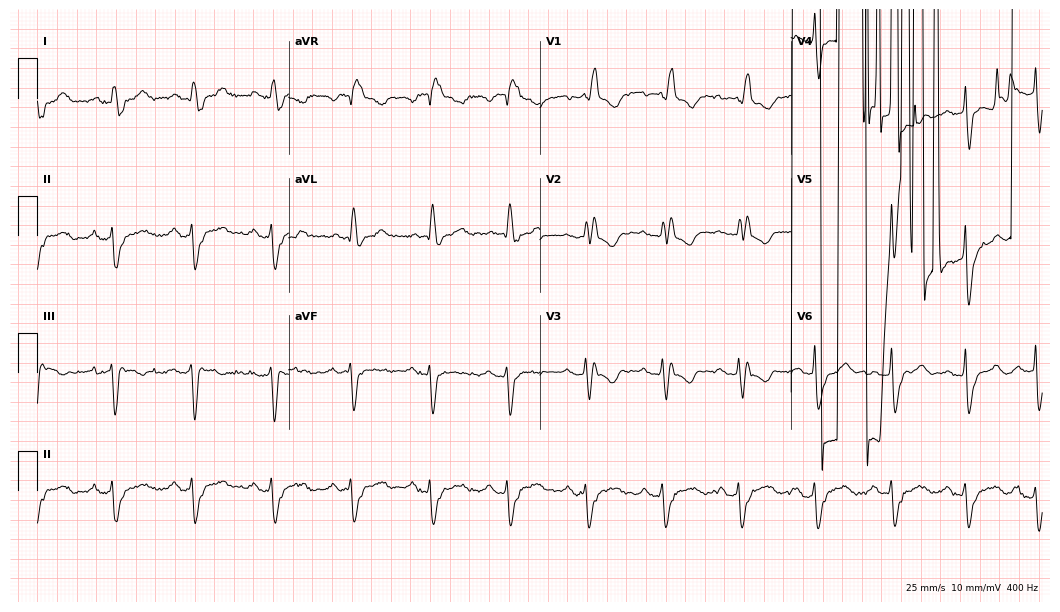
12-lead ECG from a 74-year-old man. Findings include first-degree AV block, right bundle branch block.